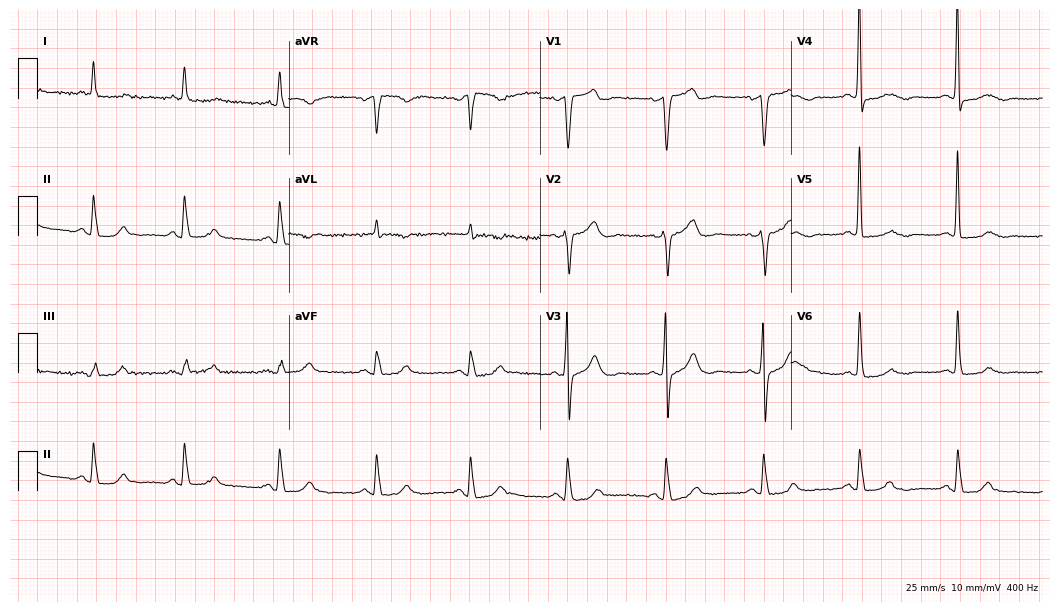
ECG (10.2-second recording at 400 Hz) — a 70-year-old female. Screened for six findings — first-degree AV block, right bundle branch block (RBBB), left bundle branch block (LBBB), sinus bradycardia, atrial fibrillation (AF), sinus tachycardia — none is recorded.